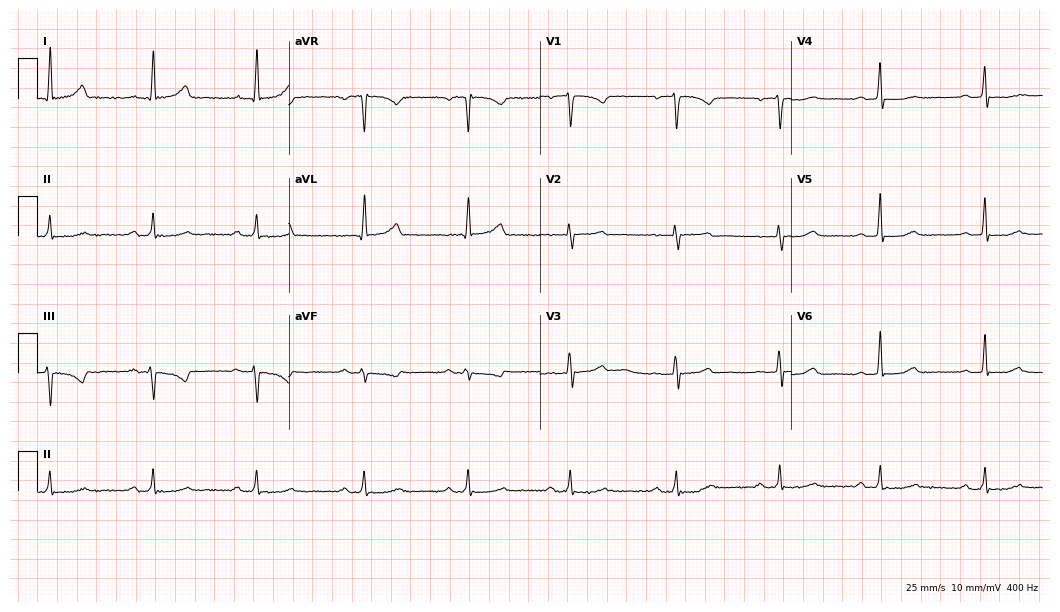
Electrocardiogram, a woman, 58 years old. Interpretation includes first-degree AV block.